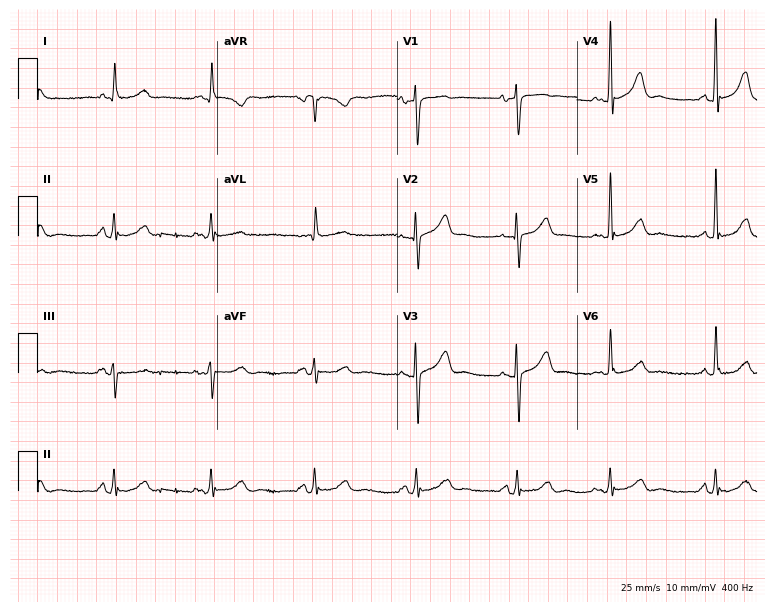
Electrocardiogram, an 83-year-old female. Overall reading on record: normal ECG.